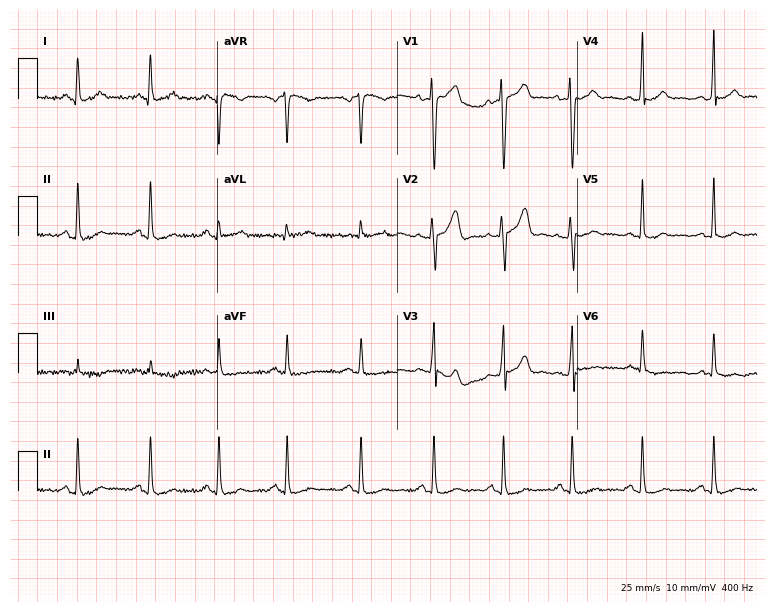
Resting 12-lead electrocardiogram (7.3-second recording at 400 Hz). Patient: a 25-year-old male. Read as a normal ECG.